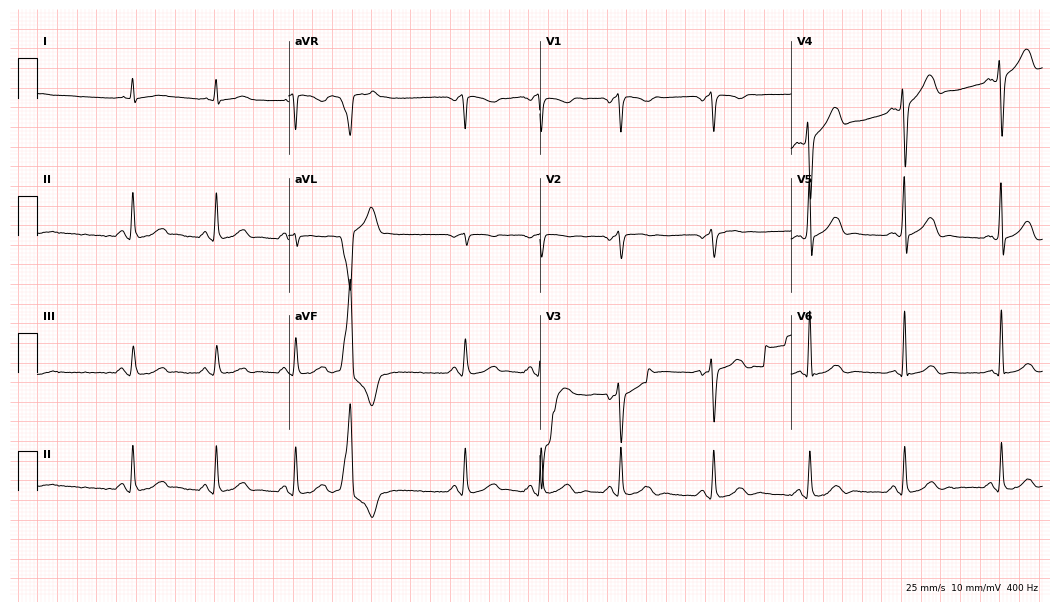
Electrocardiogram (10.2-second recording at 400 Hz), a 43-year-old male patient. Of the six screened findings (first-degree AV block, right bundle branch block (RBBB), left bundle branch block (LBBB), sinus bradycardia, atrial fibrillation (AF), sinus tachycardia), none is recorded. Other findings, if any, are not listed.